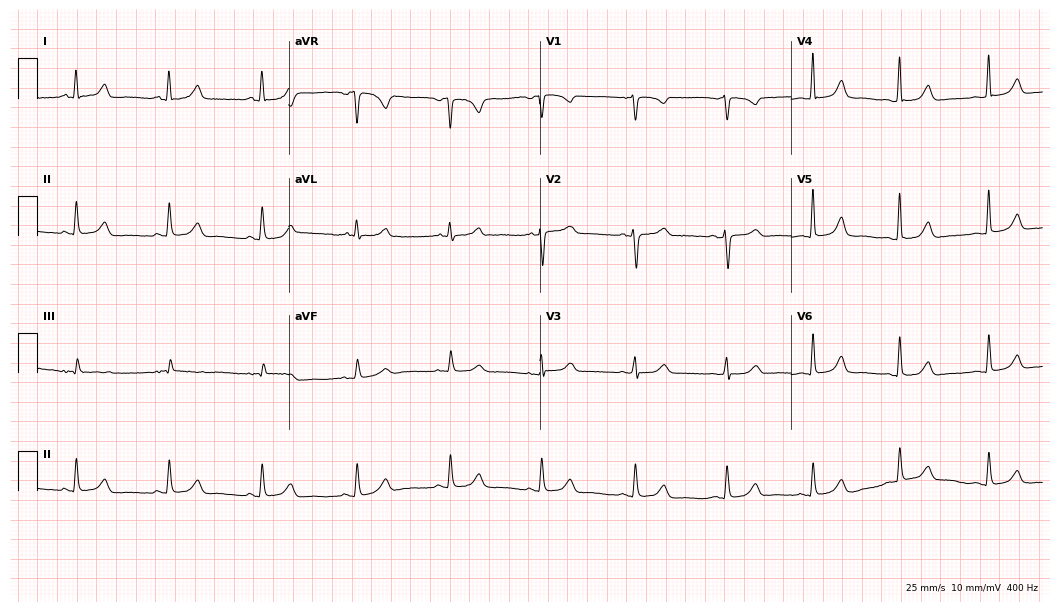
12-lead ECG from a woman, 70 years old. Recorded interpretation: within normal limits.